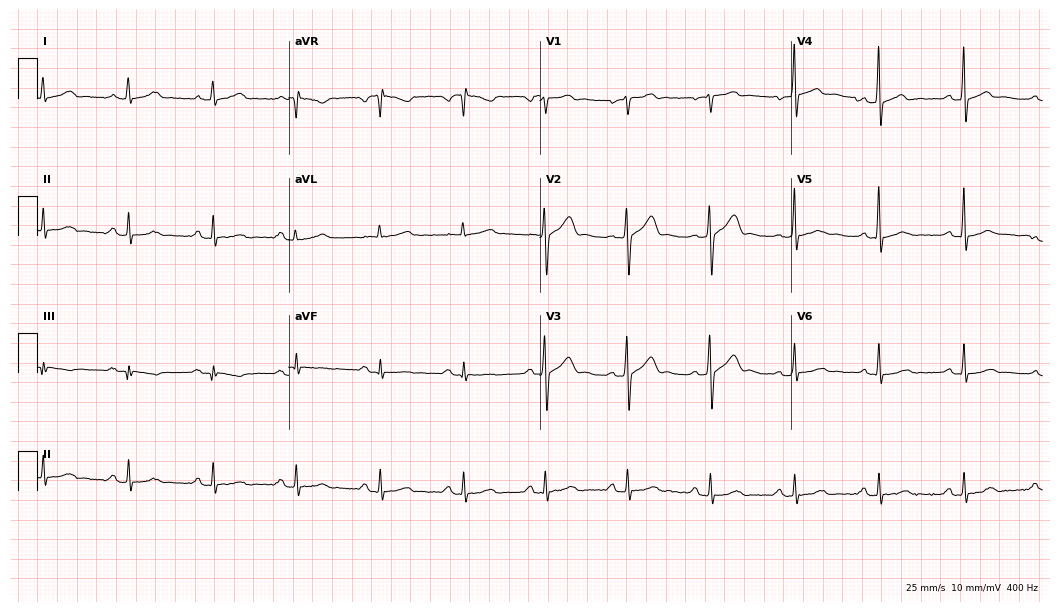
12-lead ECG from a female, 63 years old. Recorded interpretation: within normal limits.